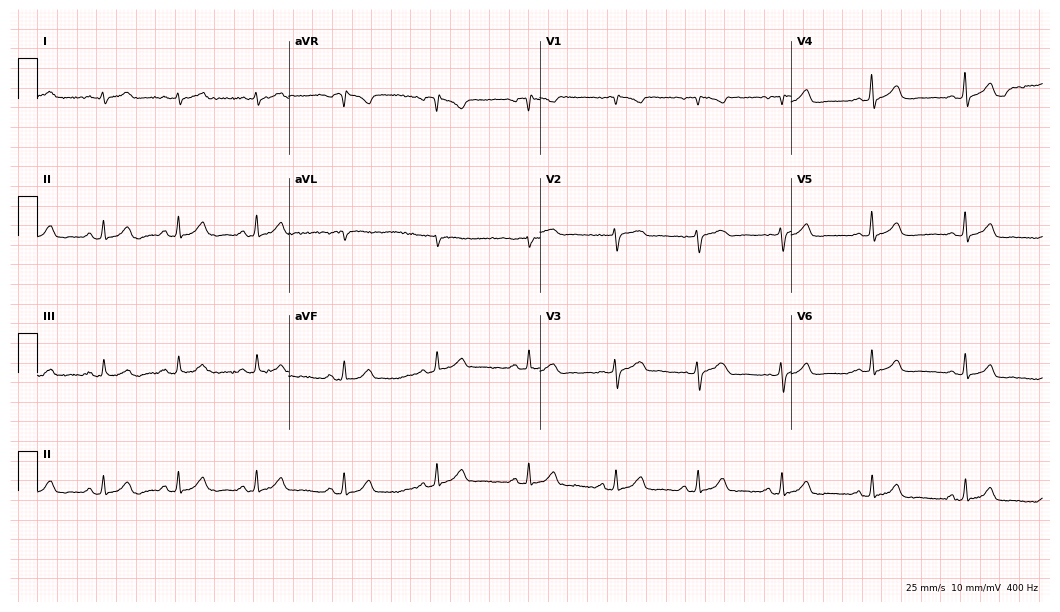
Standard 12-lead ECG recorded from a 44-year-old female patient (10.2-second recording at 400 Hz). None of these six findings is recorded: first-degree AV block, right bundle branch block (RBBB), left bundle branch block (LBBB), sinus bradycardia, atrial fibrillation (AF), sinus tachycardia.